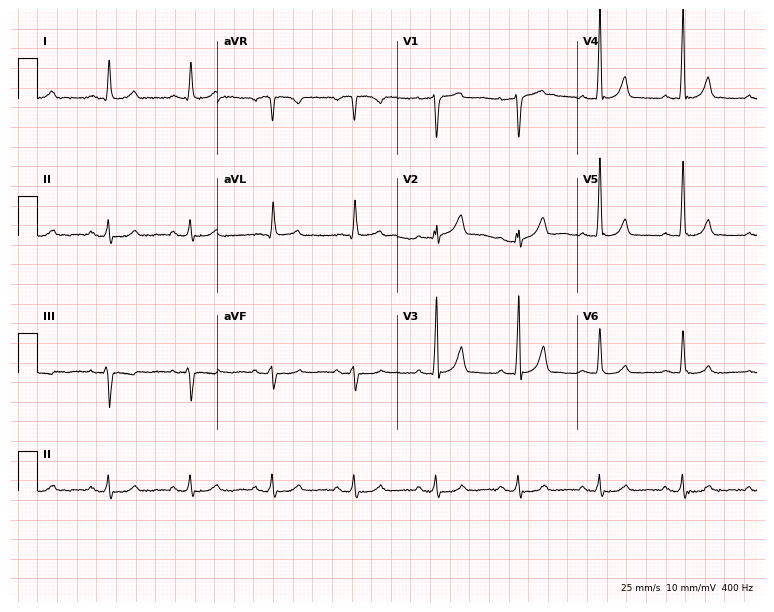
ECG — a woman, 83 years old. Screened for six findings — first-degree AV block, right bundle branch block, left bundle branch block, sinus bradycardia, atrial fibrillation, sinus tachycardia — none is recorded. Findings outside these six are not listed.